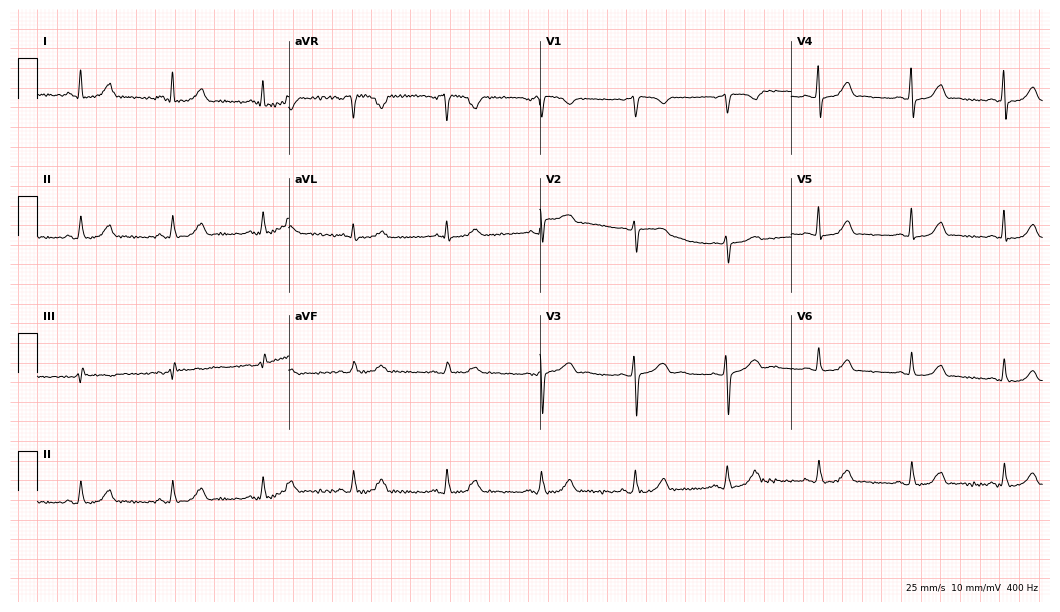
12-lead ECG from a 61-year-old woman. Labelled as a normal ECG.